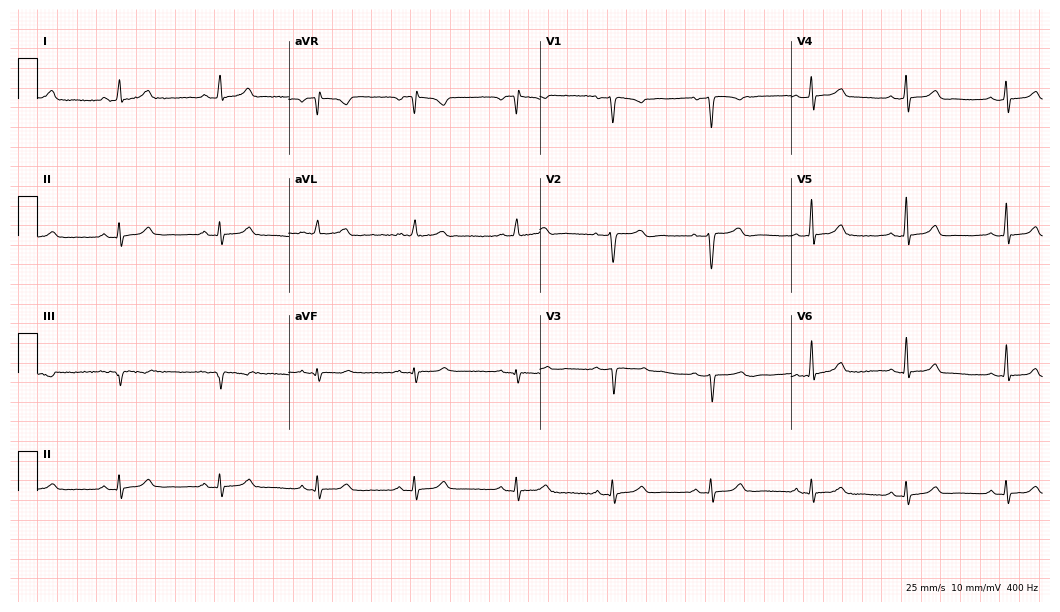
Electrocardiogram, a 39-year-old woman. Overall reading on record: normal ECG.